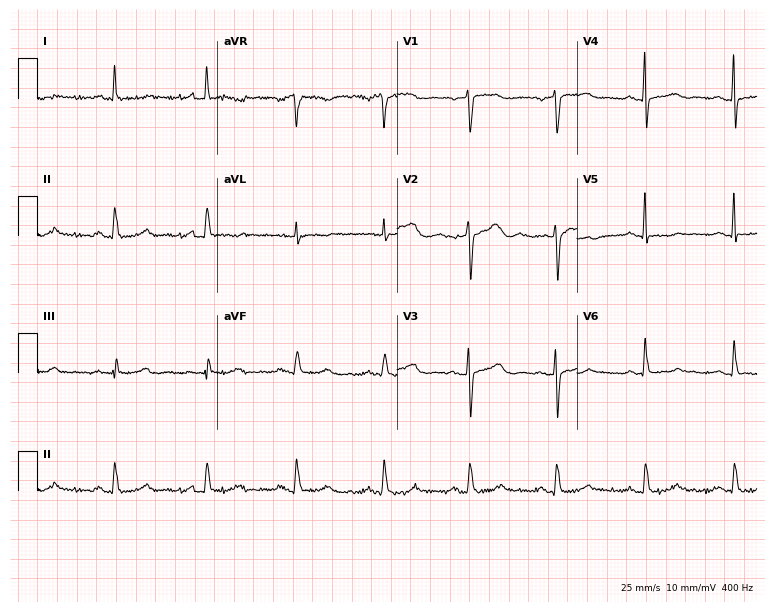
12-lead ECG (7.3-second recording at 400 Hz) from a 57-year-old female. Screened for six findings — first-degree AV block, right bundle branch block, left bundle branch block, sinus bradycardia, atrial fibrillation, sinus tachycardia — none is recorded.